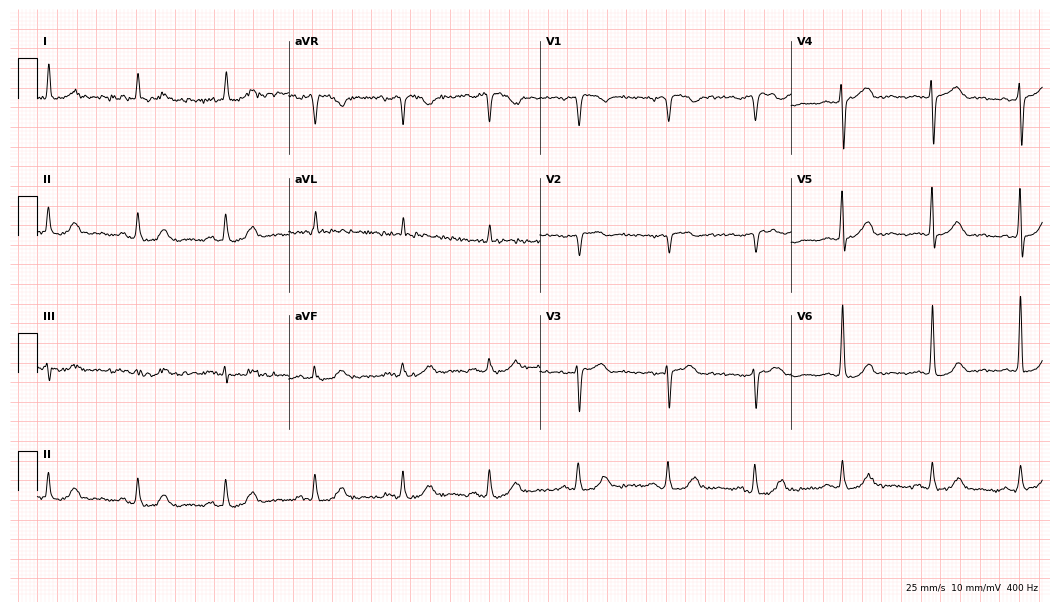
12-lead ECG from a 75-year-old woman. Labelled as a normal ECG.